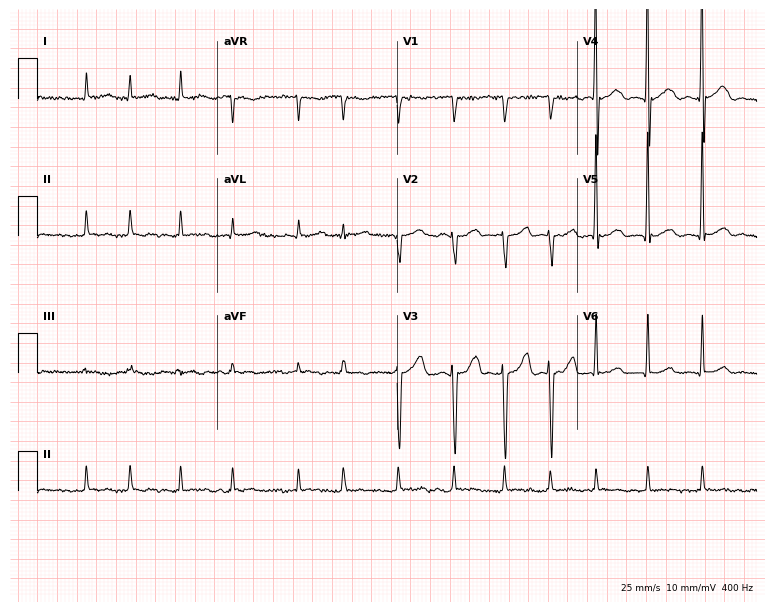
Electrocardiogram (7.3-second recording at 400 Hz), a man, 69 years old. Interpretation includes atrial fibrillation.